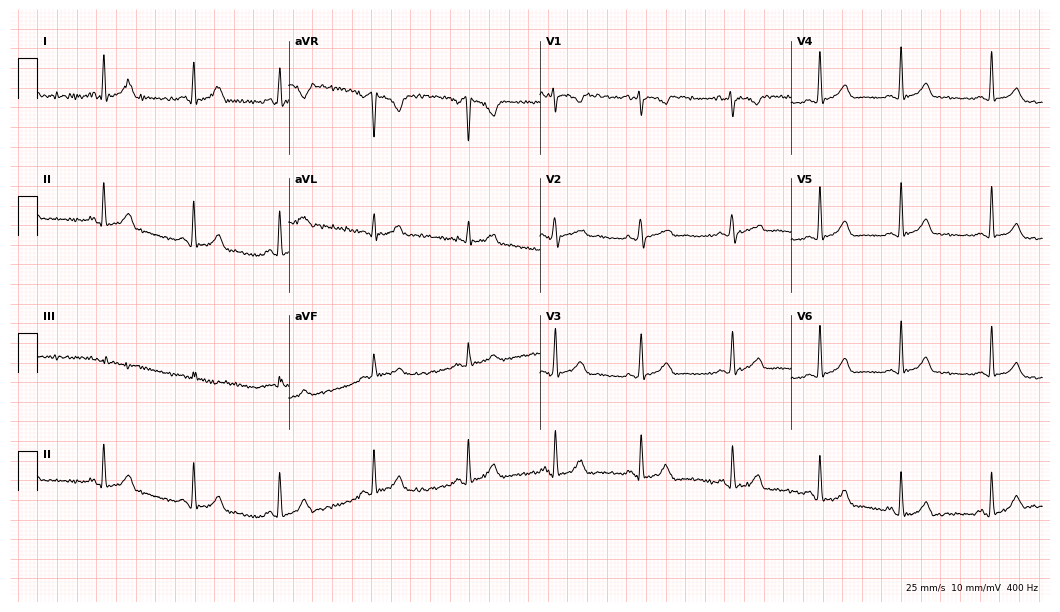
ECG (10.2-second recording at 400 Hz) — a 28-year-old woman. Labelled as a normal ECG.